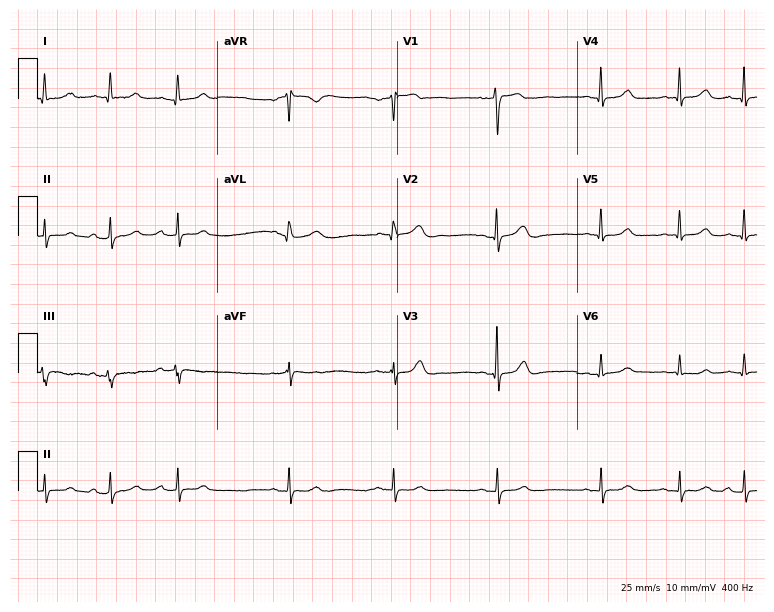
12-lead ECG from a 23-year-old female patient. Labelled as a normal ECG.